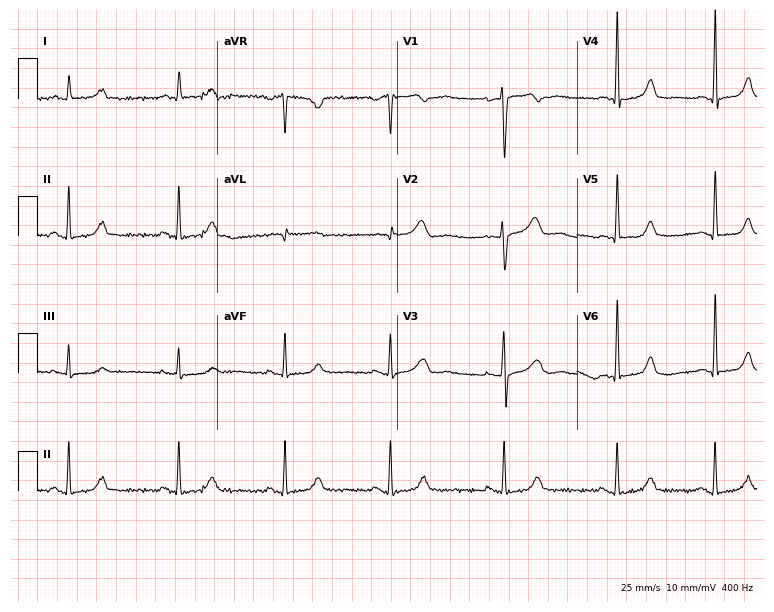
12-lead ECG (7.3-second recording at 400 Hz) from a woman, 47 years old. Labelled as a normal ECG.